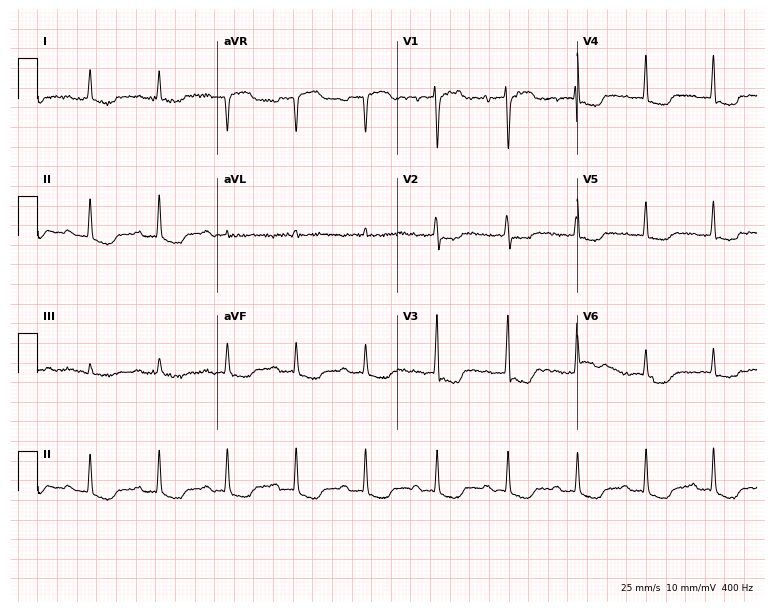
12-lead ECG from a woman, 70 years old (7.3-second recording at 400 Hz). Shows first-degree AV block.